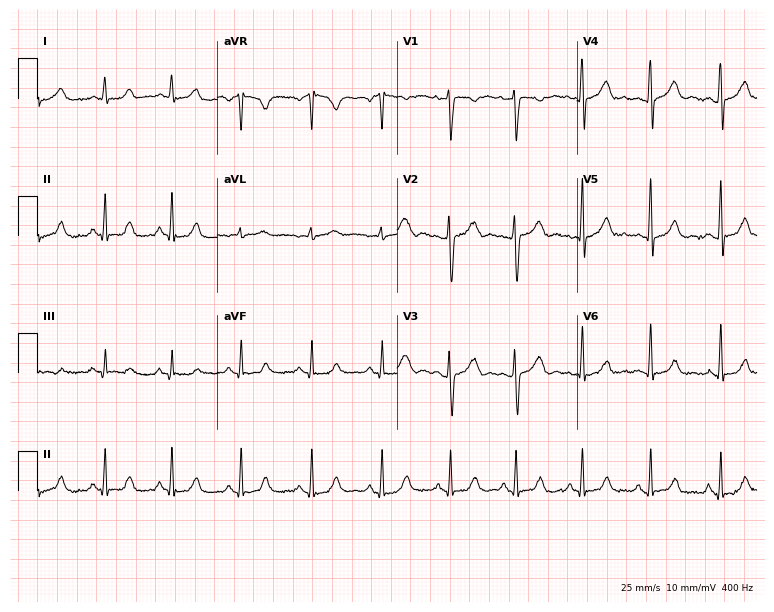
12-lead ECG (7.3-second recording at 400 Hz) from a 36-year-old female. Screened for six findings — first-degree AV block, right bundle branch block, left bundle branch block, sinus bradycardia, atrial fibrillation, sinus tachycardia — none is recorded.